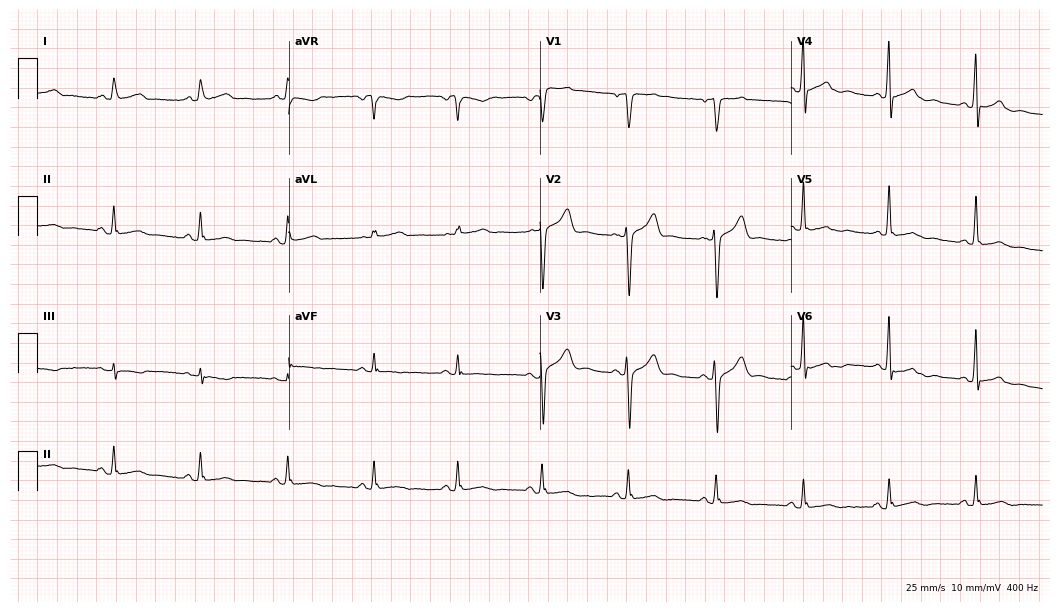
Standard 12-lead ECG recorded from a 43-year-old male (10.2-second recording at 400 Hz). Read as a normal ECG.